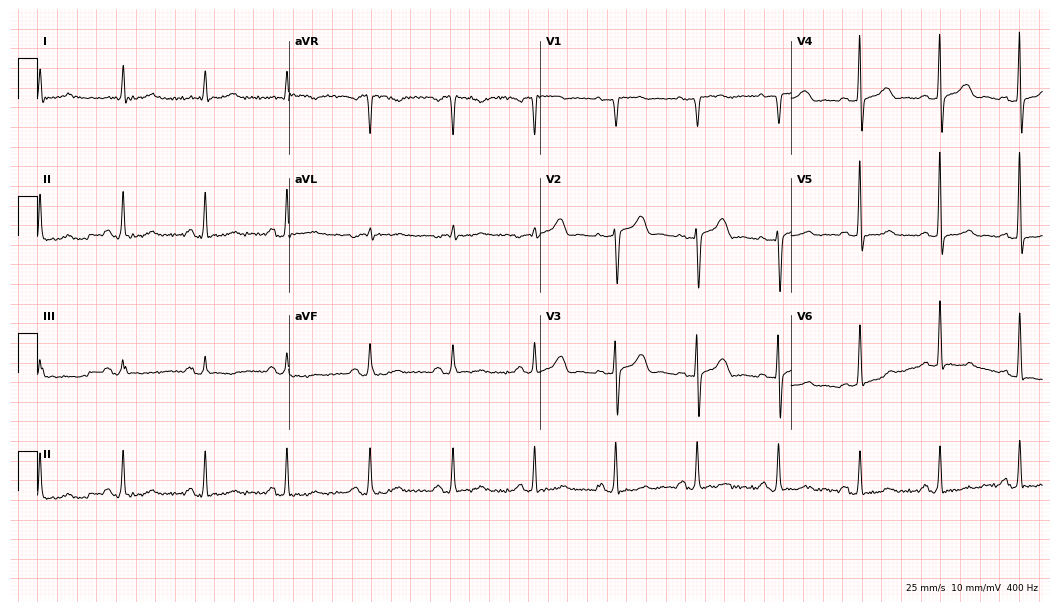
ECG (10.2-second recording at 400 Hz) — a female, 85 years old. Labelled as a normal ECG.